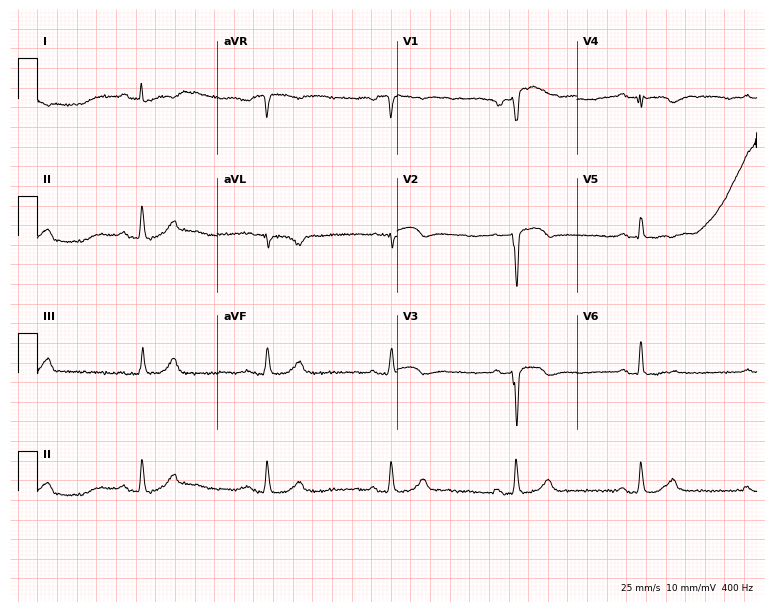
12-lead ECG from a 71-year-old male. Findings include sinus bradycardia (a sinus rate of 50 beats per minute or less).